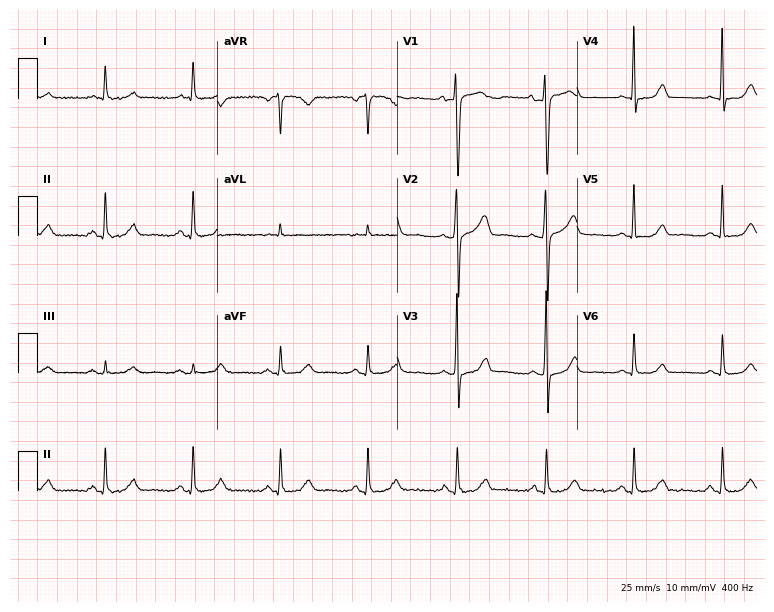
12-lead ECG from a 50-year-old female patient (7.3-second recording at 400 Hz). Recorded interpretation: within normal limits.